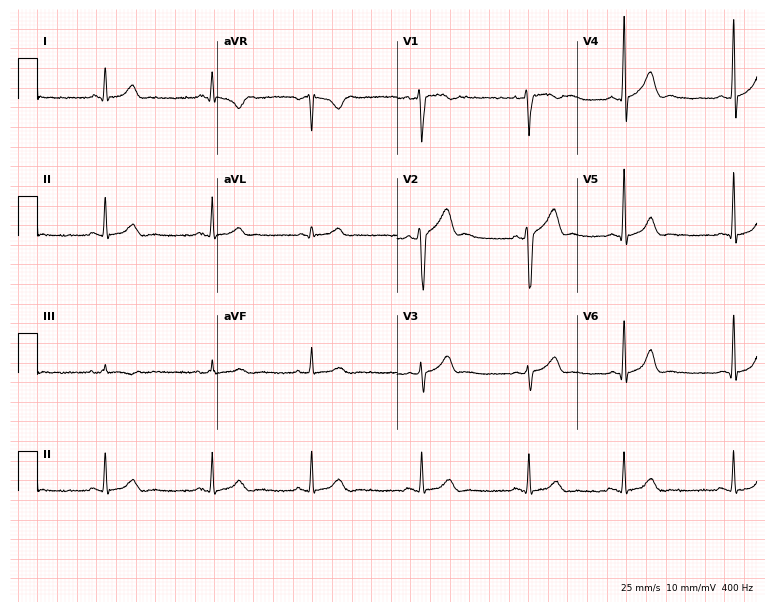
12-lead ECG from a 37-year-old male patient (7.3-second recording at 400 Hz). No first-degree AV block, right bundle branch block (RBBB), left bundle branch block (LBBB), sinus bradycardia, atrial fibrillation (AF) or sinus tachycardia recorded for this tracing. Findings outside these six are not listed.